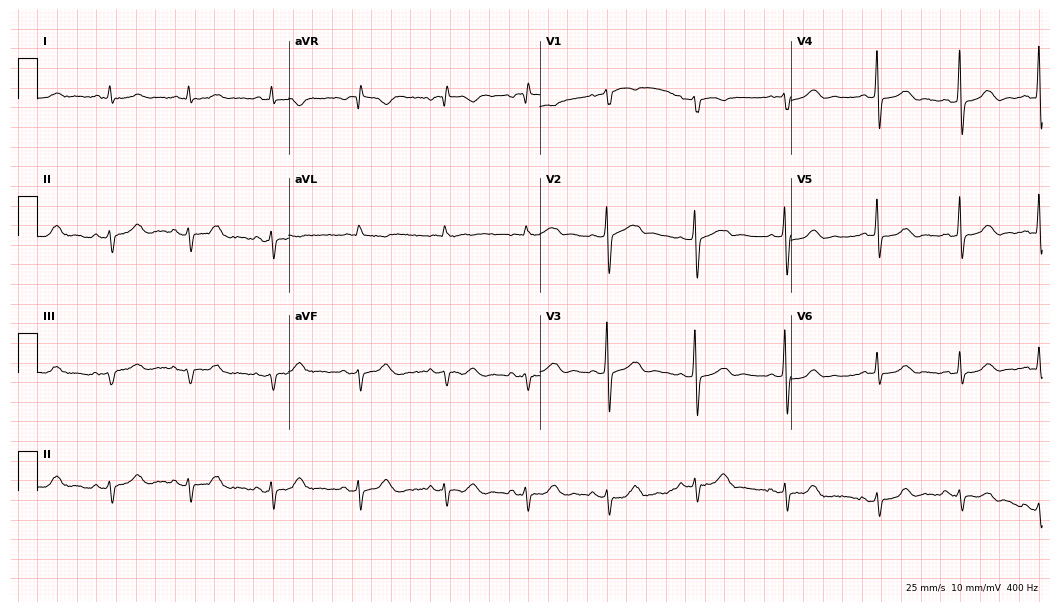
12-lead ECG from a 52-year-old woman. No first-degree AV block, right bundle branch block, left bundle branch block, sinus bradycardia, atrial fibrillation or sinus tachycardia recorded for this tracing.